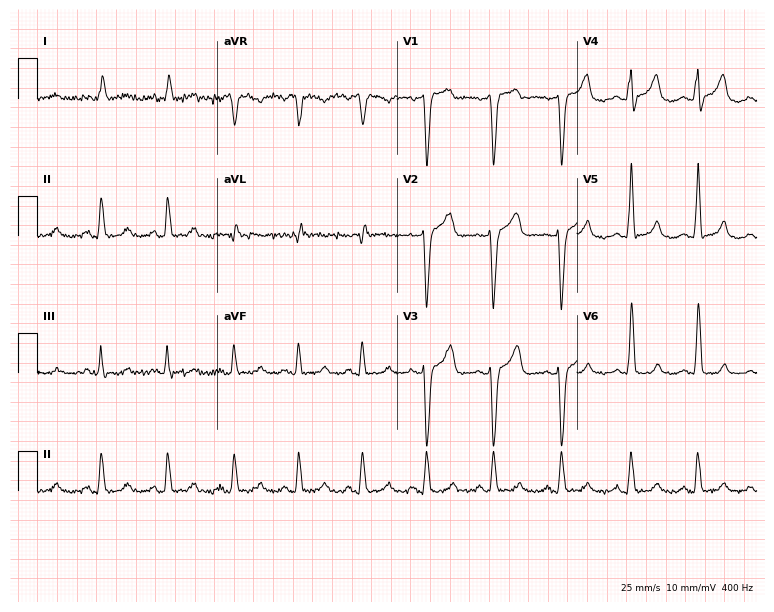
Standard 12-lead ECG recorded from a female, 56 years old (7.3-second recording at 400 Hz). None of these six findings is recorded: first-degree AV block, right bundle branch block, left bundle branch block, sinus bradycardia, atrial fibrillation, sinus tachycardia. Findings outside these six are not listed.